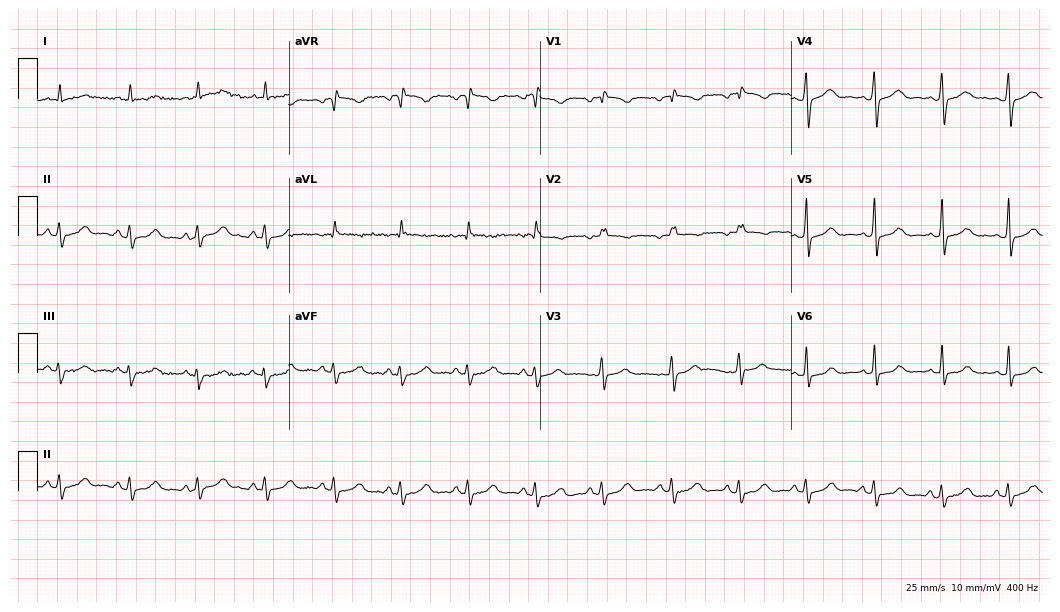
12-lead ECG from a 44-year-old female. Recorded interpretation: within normal limits.